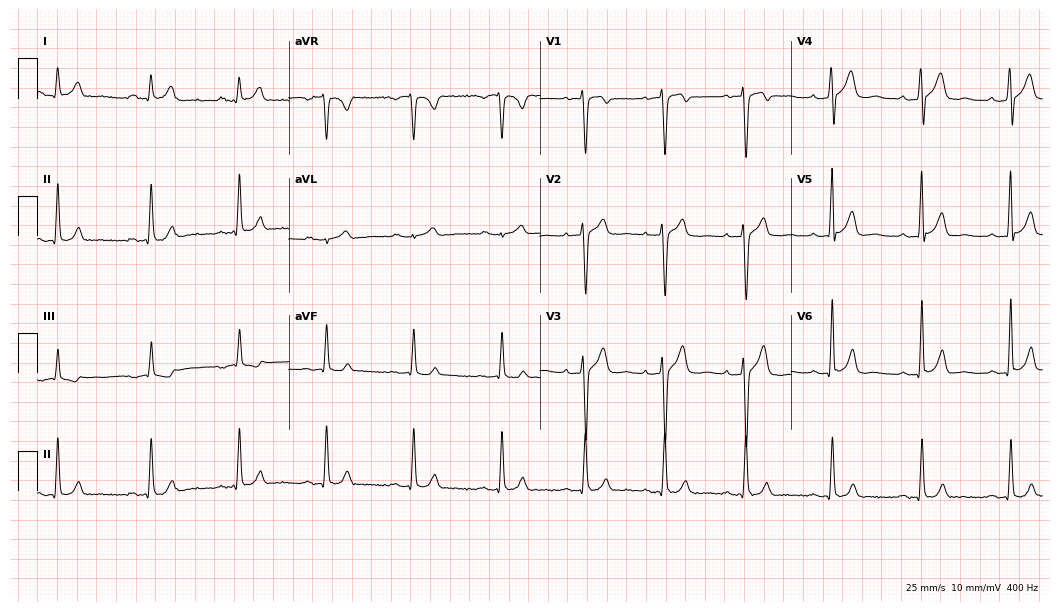
12-lead ECG from a 26-year-old man. Recorded interpretation: within normal limits.